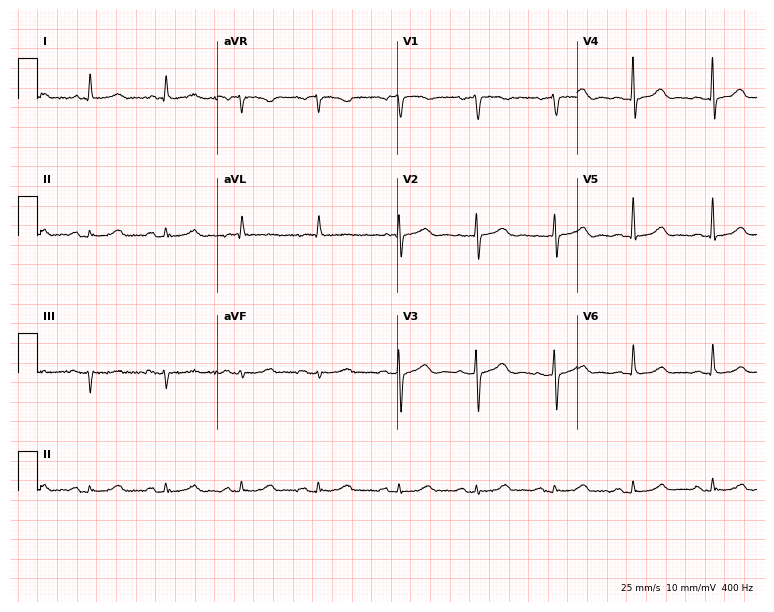
Resting 12-lead electrocardiogram (7.3-second recording at 400 Hz). Patient: a female, 86 years old. Read as a normal ECG.